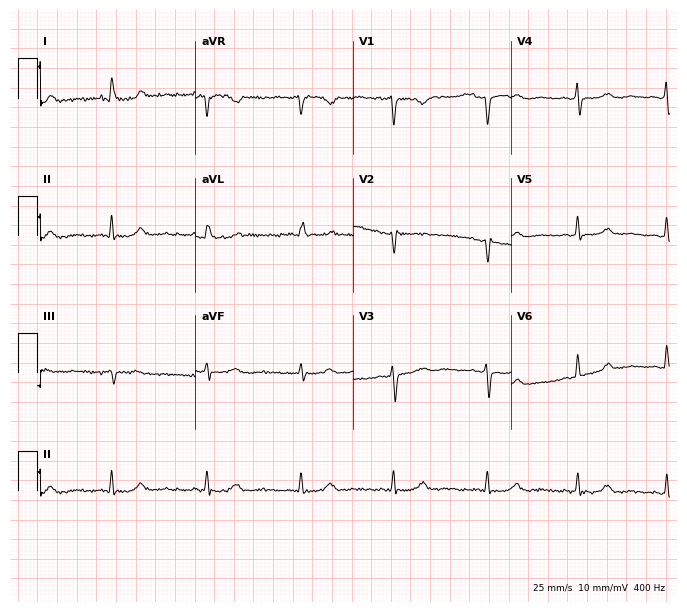
Electrocardiogram, a woman, 53 years old. Of the six screened findings (first-degree AV block, right bundle branch block, left bundle branch block, sinus bradycardia, atrial fibrillation, sinus tachycardia), none is recorded. Only these six findings were labelled.